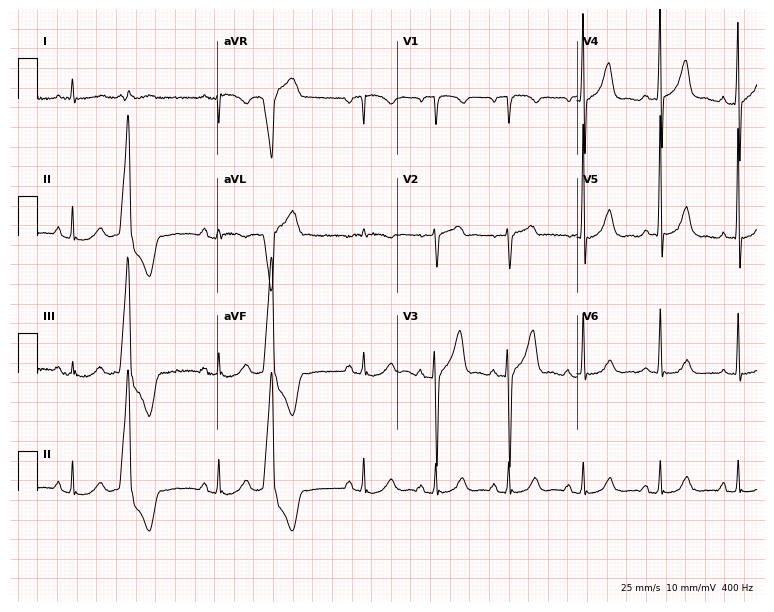
12-lead ECG from a male, 74 years old (7.3-second recording at 400 Hz). No first-degree AV block, right bundle branch block (RBBB), left bundle branch block (LBBB), sinus bradycardia, atrial fibrillation (AF) or sinus tachycardia recorded for this tracing.